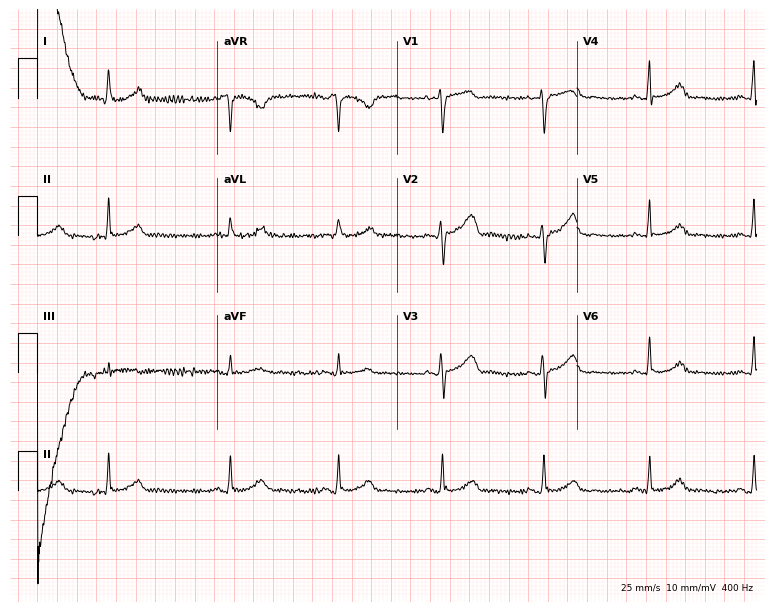
12-lead ECG (7.3-second recording at 400 Hz) from a woman, 56 years old. Labelled as a normal ECG.